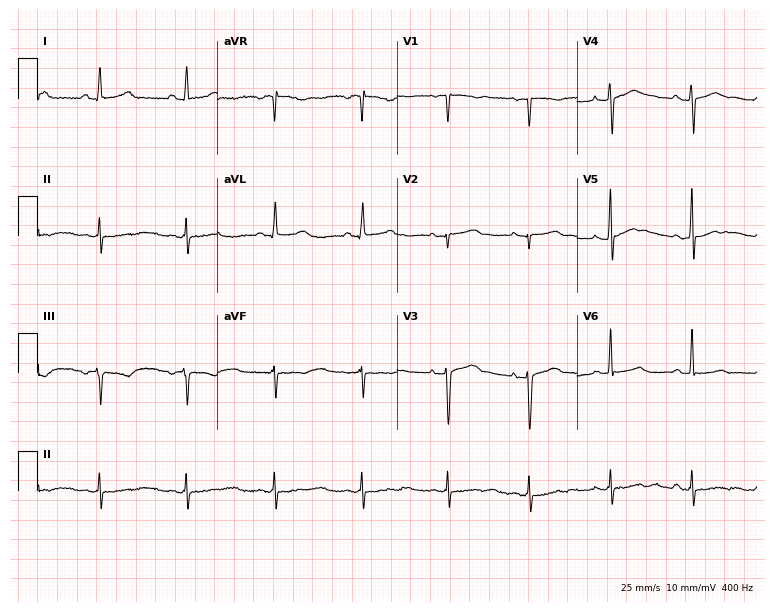
Standard 12-lead ECG recorded from a 32-year-old female patient (7.3-second recording at 400 Hz). Read as a normal ECG.